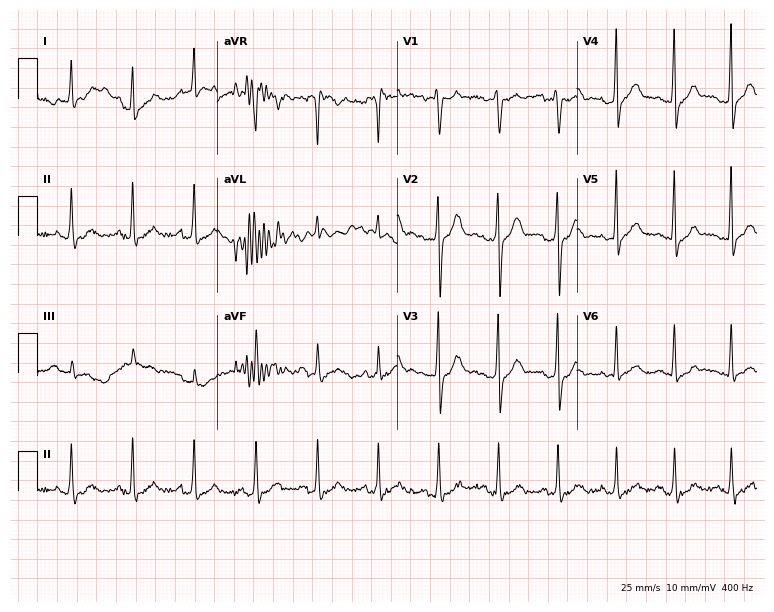
Resting 12-lead electrocardiogram. Patient: a male, 24 years old. Read as a normal ECG.